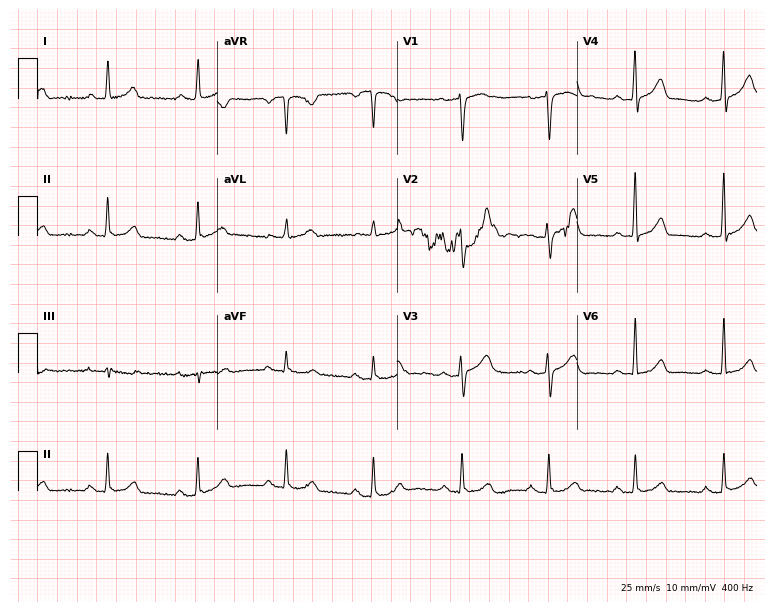
Electrocardiogram, a female patient, 66 years old. Of the six screened findings (first-degree AV block, right bundle branch block (RBBB), left bundle branch block (LBBB), sinus bradycardia, atrial fibrillation (AF), sinus tachycardia), none is recorded. Only these six findings were labelled.